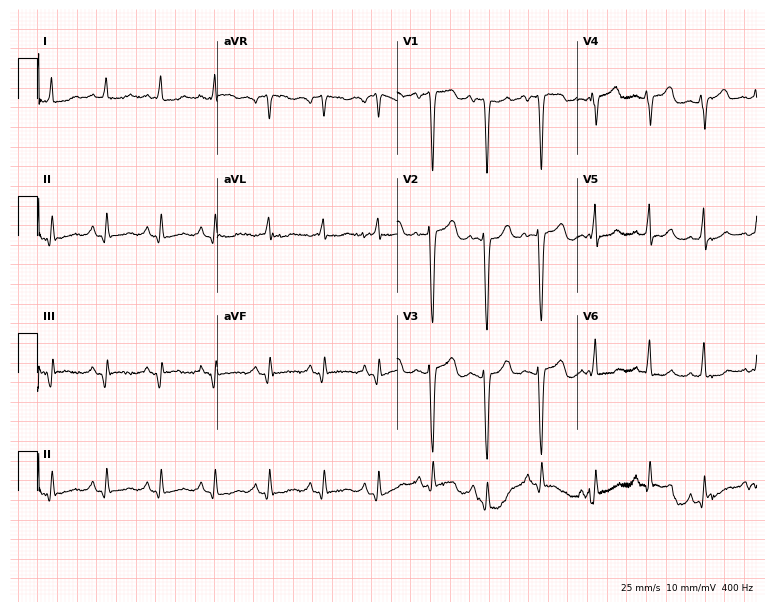
12-lead ECG from a female, 68 years old (7.3-second recording at 400 Hz). Shows sinus tachycardia (a sinus rate of 100 beats per minute or more).